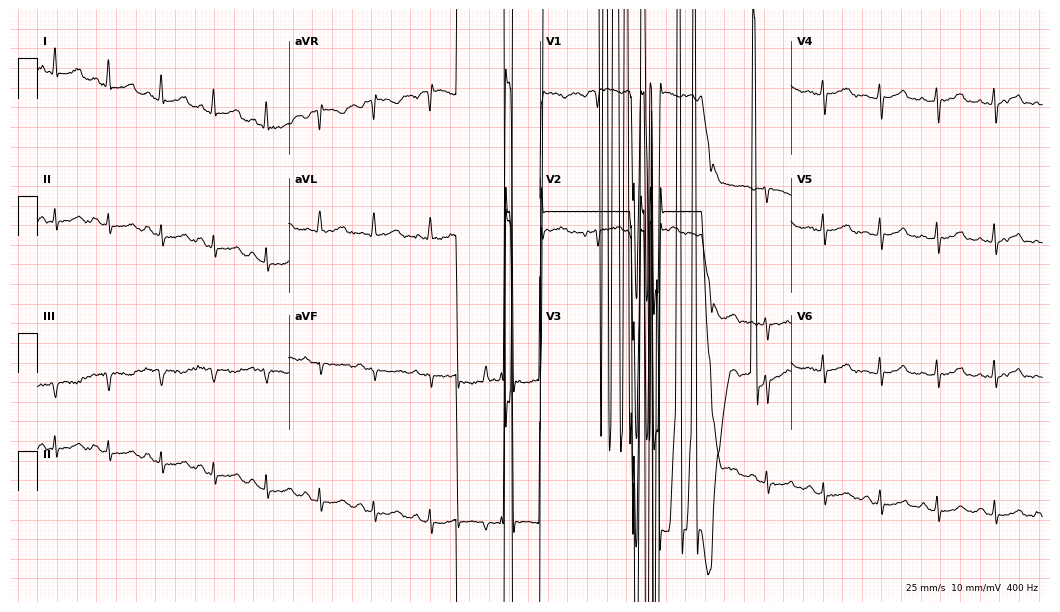
Resting 12-lead electrocardiogram. Patient: a 34-year-old female. The tracing shows atrial fibrillation.